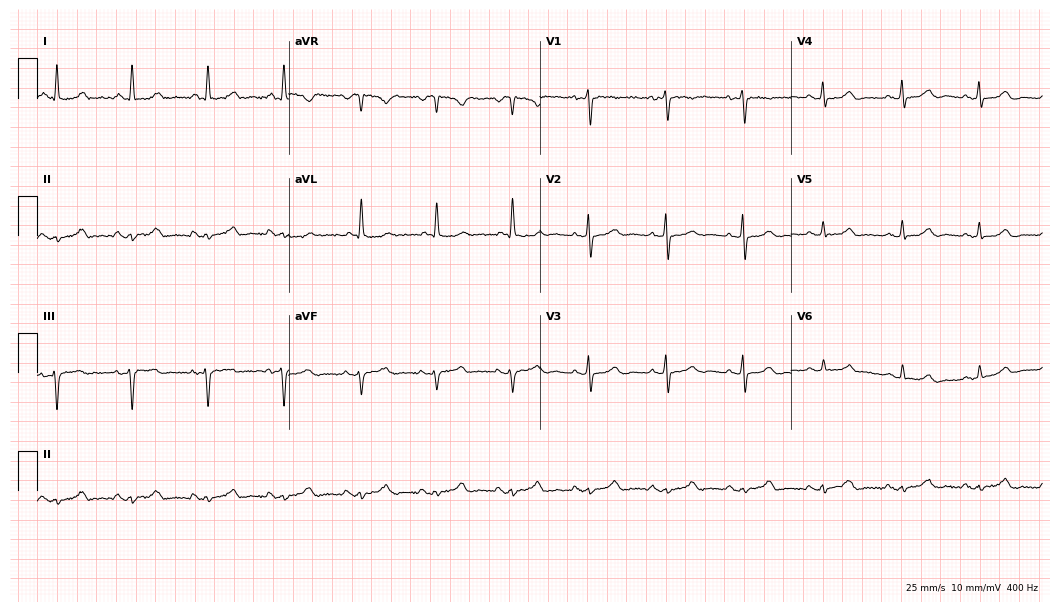
Standard 12-lead ECG recorded from a woman, 79 years old. None of these six findings is recorded: first-degree AV block, right bundle branch block, left bundle branch block, sinus bradycardia, atrial fibrillation, sinus tachycardia. Findings outside these six are not listed.